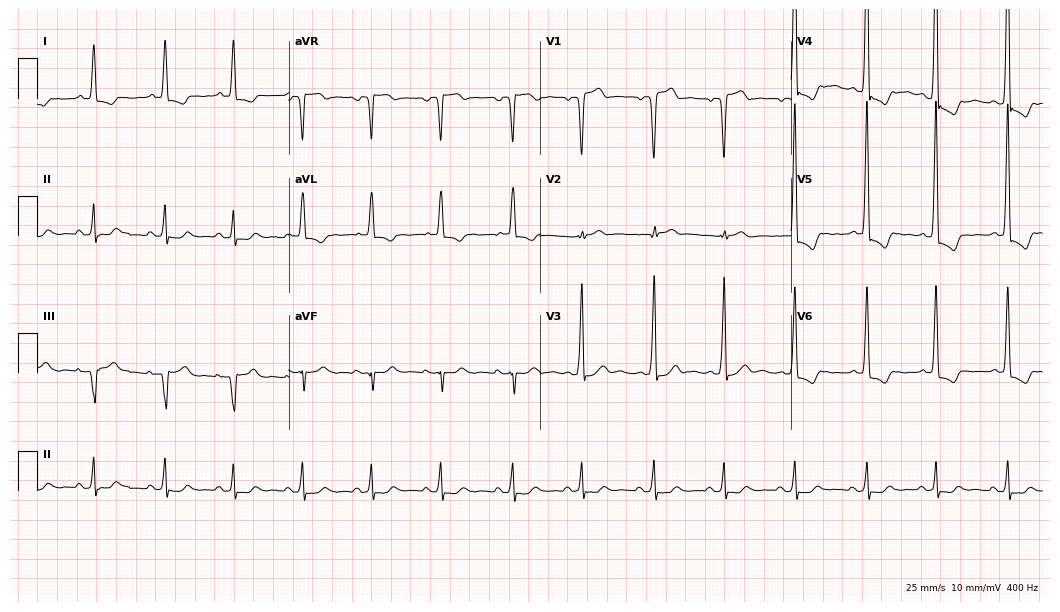
12-lead ECG from a 60-year-old male patient (10.2-second recording at 400 Hz). No first-degree AV block, right bundle branch block, left bundle branch block, sinus bradycardia, atrial fibrillation or sinus tachycardia recorded for this tracing.